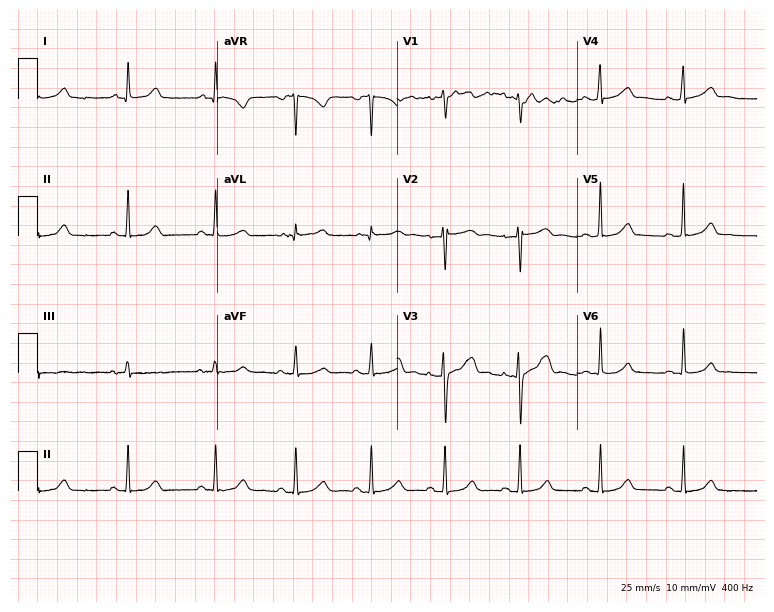
12-lead ECG from a female, 20 years old. Recorded interpretation: within normal limits.